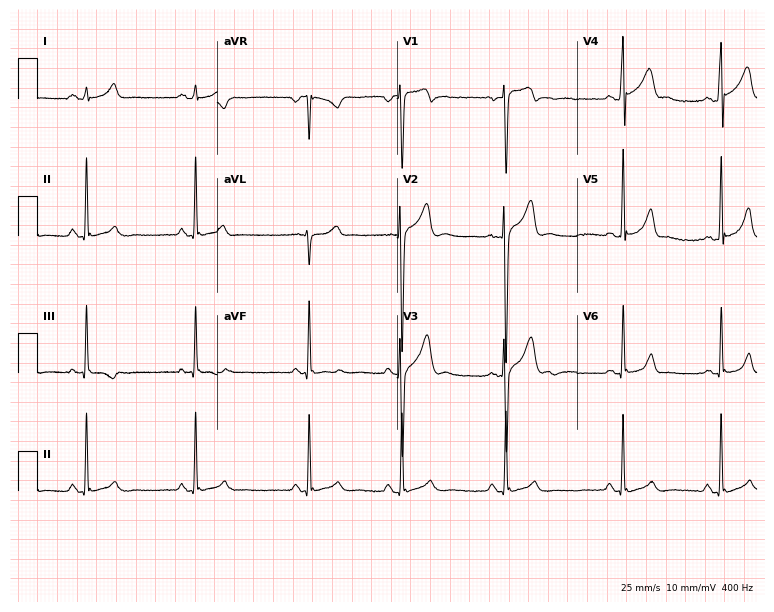
12-lead ECG (7.3-second recording at 400 Hz) from a 23-year-old man. Labelled as a normal ECG.